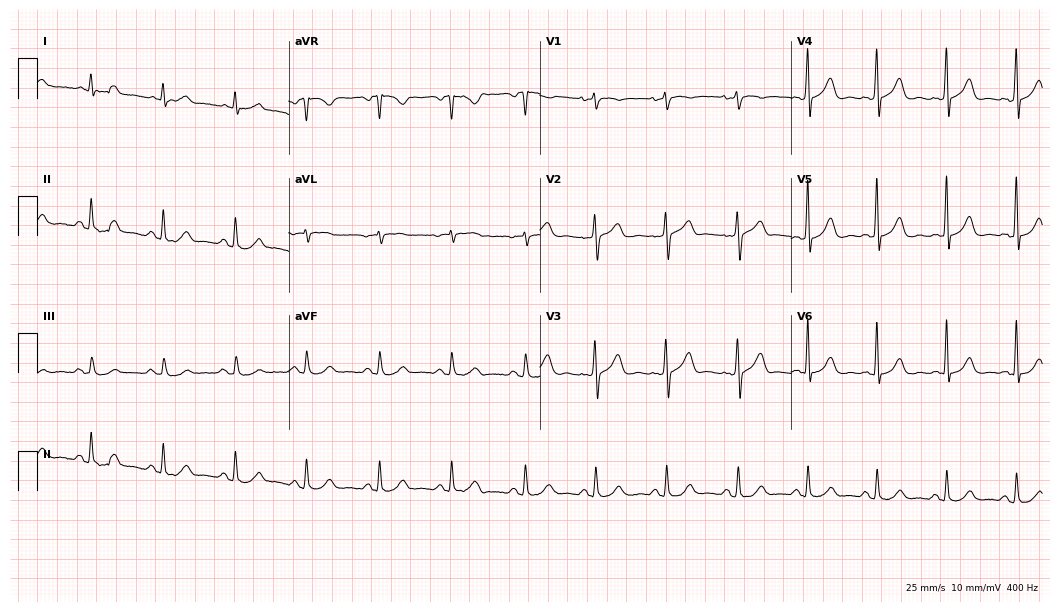
12-lead ECG from a 71-year-old male. Screened for six findings — first-degree AV block, right bundle branch block, left bundle branch block, sinus bradycardia, atrial fibrillation, sinus tachycardia — none is recorded.